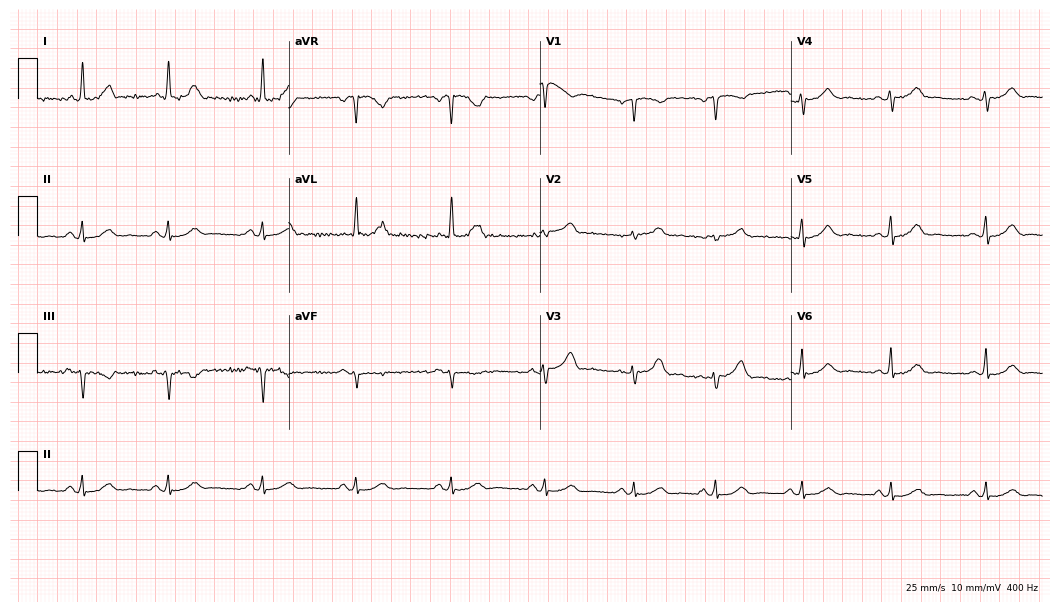
12-lead ECG from a woman, 49 years old. Labelled as a normal ECG.